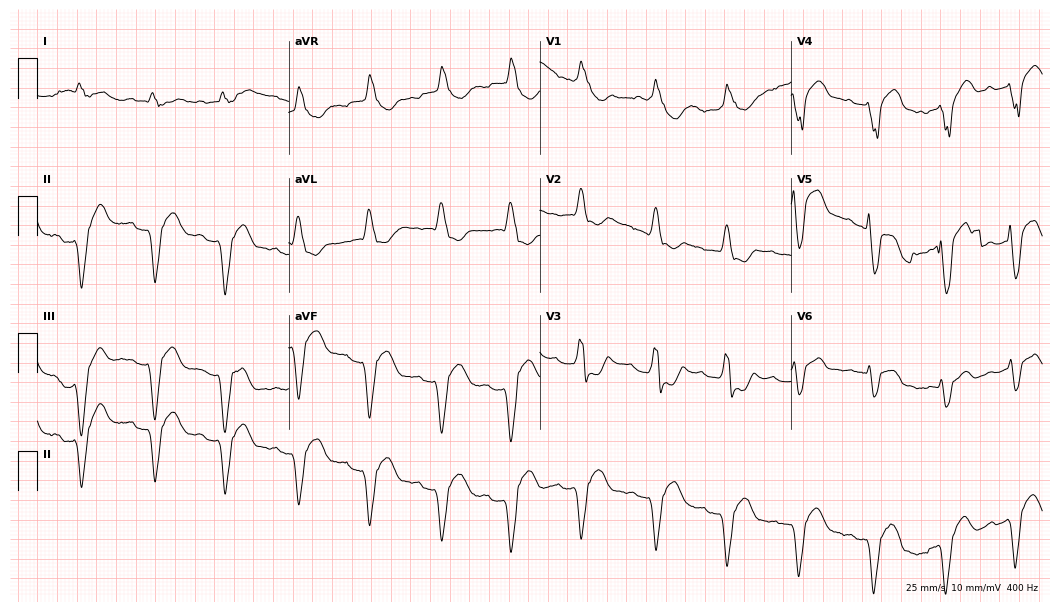
ECG (10.2-second recording at 400 Hz) — a 78-year-old male. Findings include first-degree AV block, right bundle branch block (RBBB).